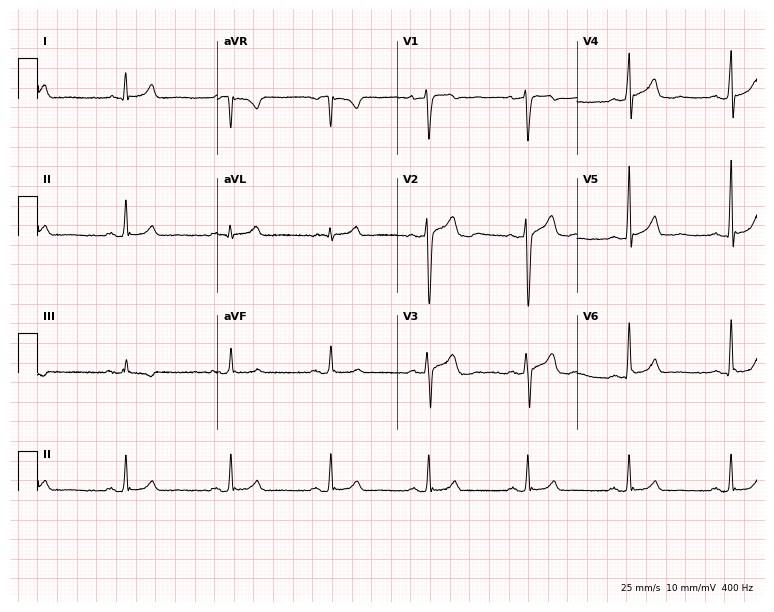
Resting 12-lead electrocardiogram (7.3-second recording at 400 Hz). Patient: a 45-year-old man. None of these six findings is recorded: first-degree AV block, right bundle branch block, left bundle branch block, sinus bradycardia, atrial fibrillation, sinus tachycardia. Other findings, if any, are not listed.